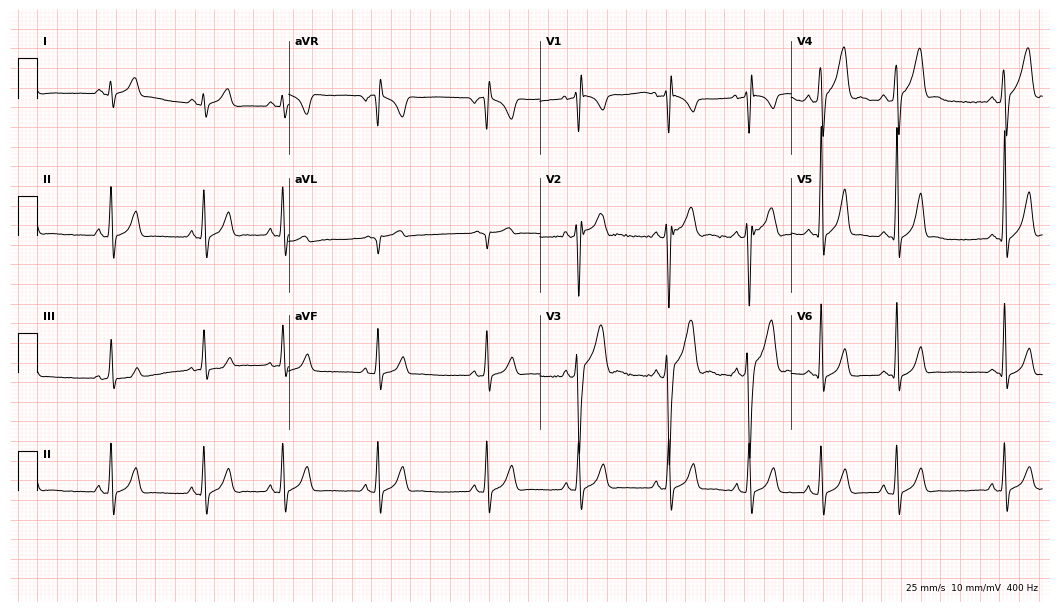
Standard 12-lead ECG recorded from a male, 18 years old. None of these six findings is recorded: first-degree AV block, right bundle branch block, left bundle branch block, sinus bradycardia, atrial fibrillation, sinus tachycardia.